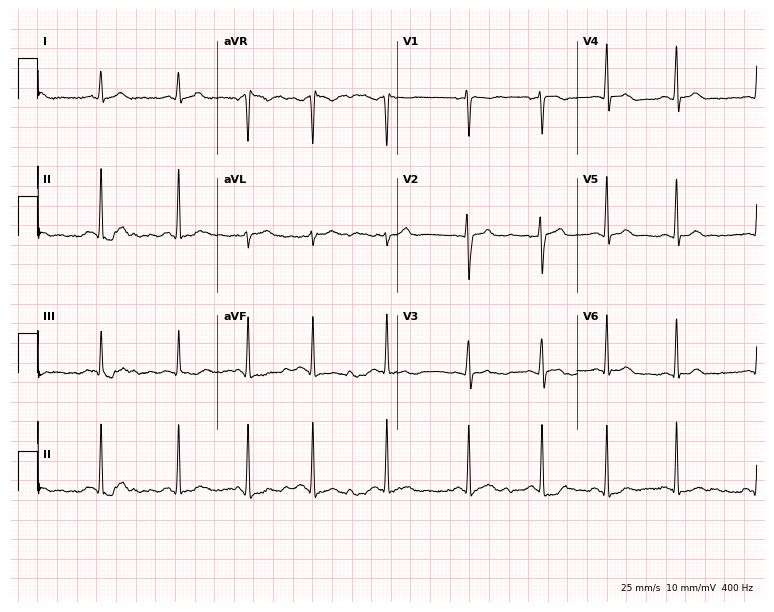
12-lead ECG from a 21-year-old female (7.3-second recording at 400 Hz). No first-degree AV block, right bundle branch block, left bundle branch block, sinus bradycardia, atrial fibrillation or sinus tachycardia recorded for this tracing. Findings outside these six are not listed.